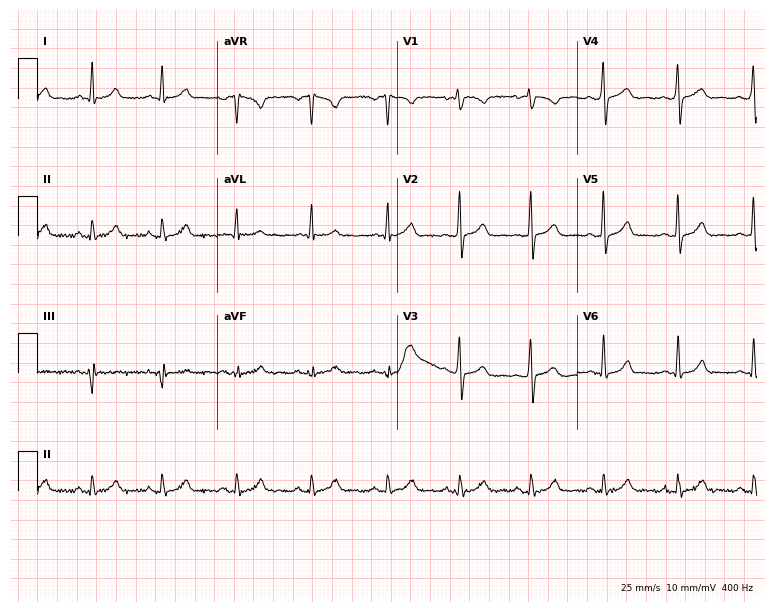
Electrocardiogram (7.3-second recording at 400 Hz), a 34-year-old woman. Overall reading on record: normal ECG.